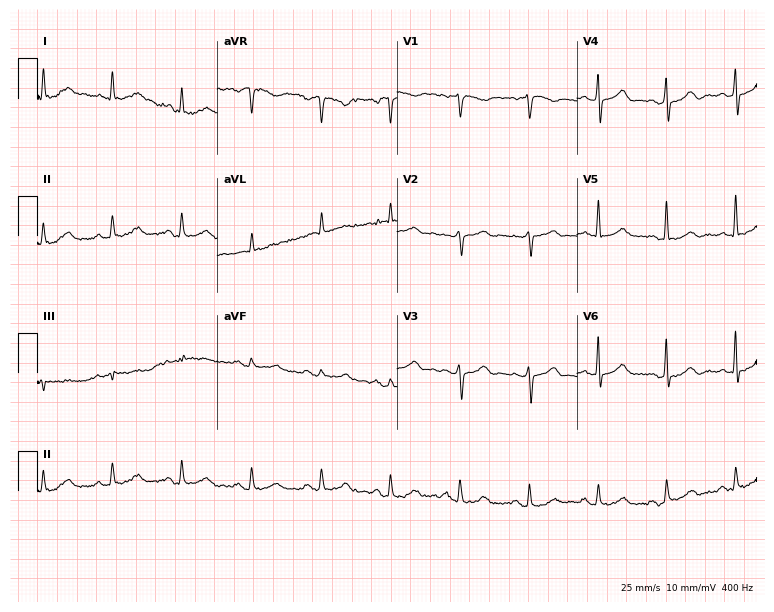
ECG (7.3-second recording at 400 Hz) — a female, 83 years old. Screened for six findings — first-degree AV block, right bundle branch block, left bundle branch block, sinus bradycardia, atrial fibrillation, sinus tachycardia — none is recorded. Findings outside these six are not listed.